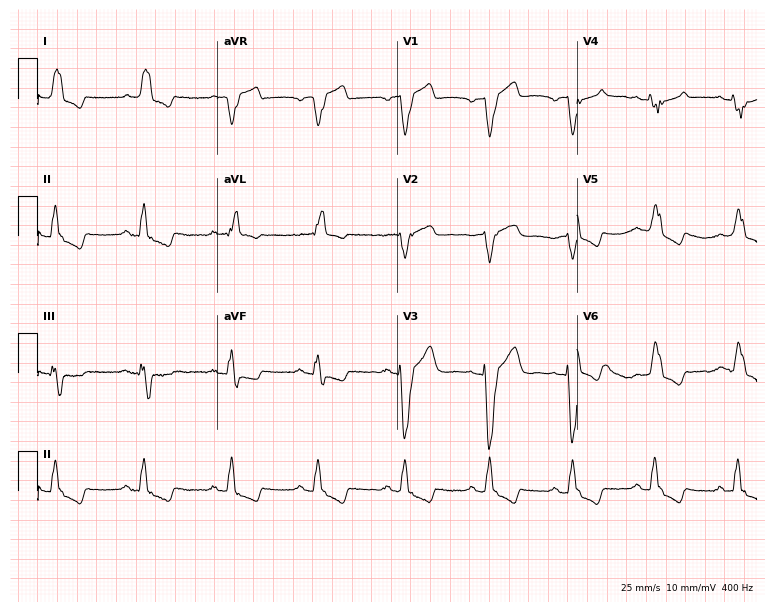
12-lead ECG (7.3-second recording at 400 Hz) from a 59-year-old man. Findings include left bundle branch block (LBBB).